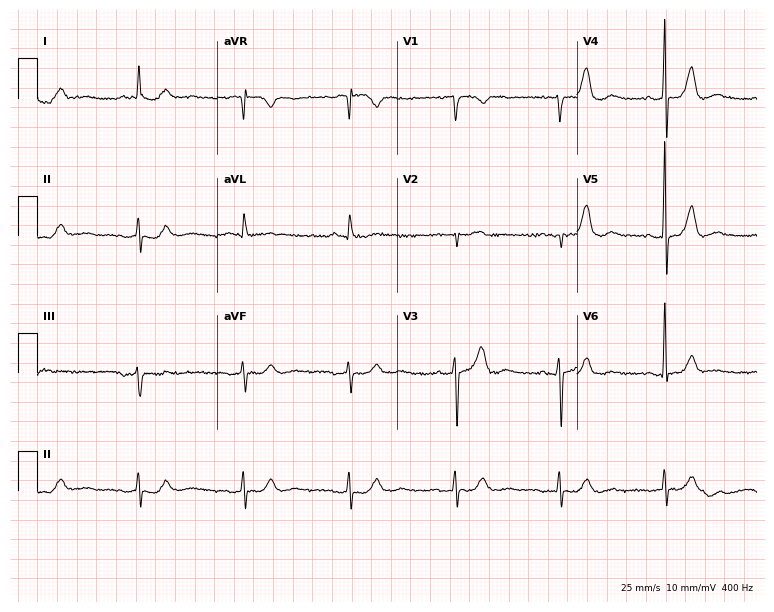
12-lead ECG from a 76-year-old man (7.3-second recording at 400 Hz). No first-degree AV block, right bundle branch block, left bundle branch block, sinus bradycardia, atrial fibrillation or sinus tachycardia recorded for this tracing.